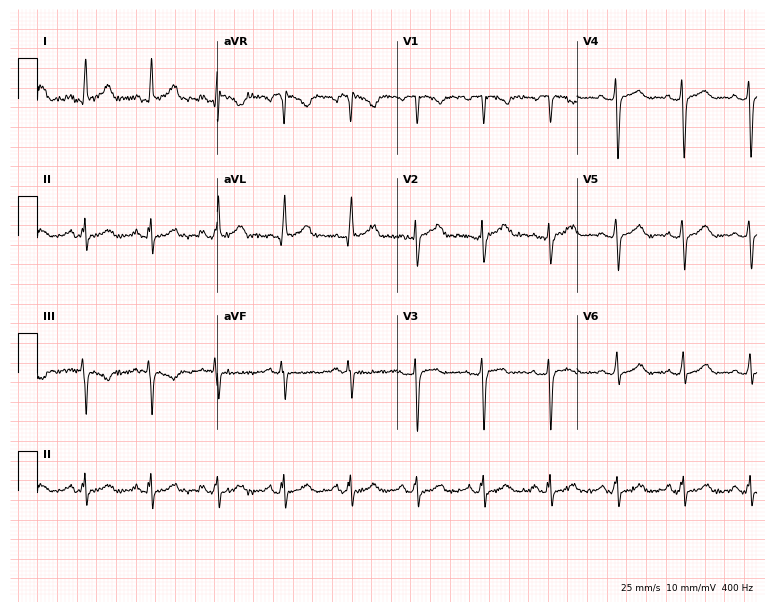
Standard 12-lead ECG recorded from a 54-year-old woman. Read as a normal ECG.